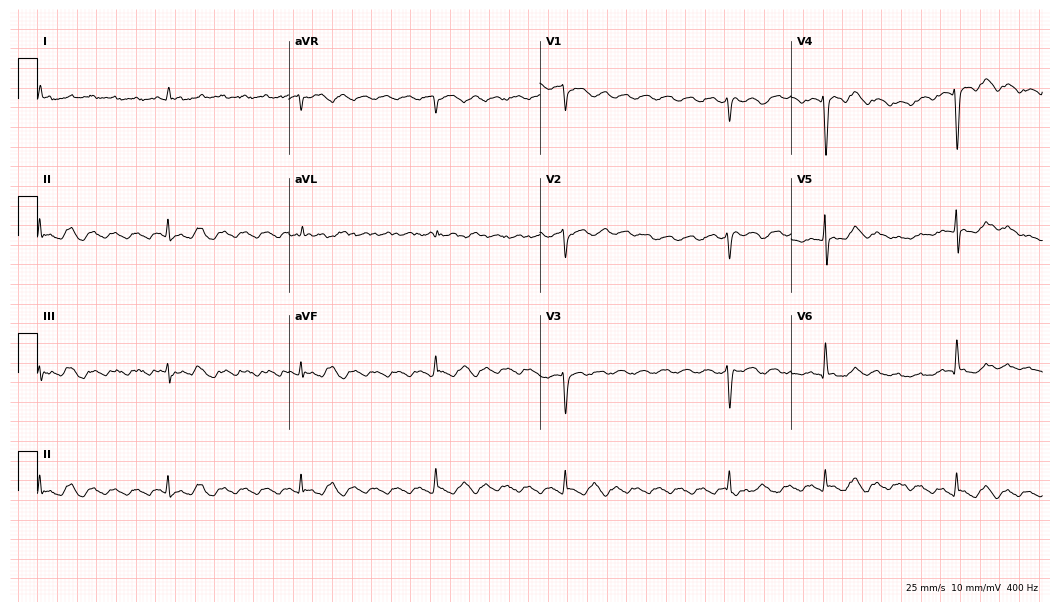
ECG — a man, 79 years old. Findings include atrial fibrillation (AF).